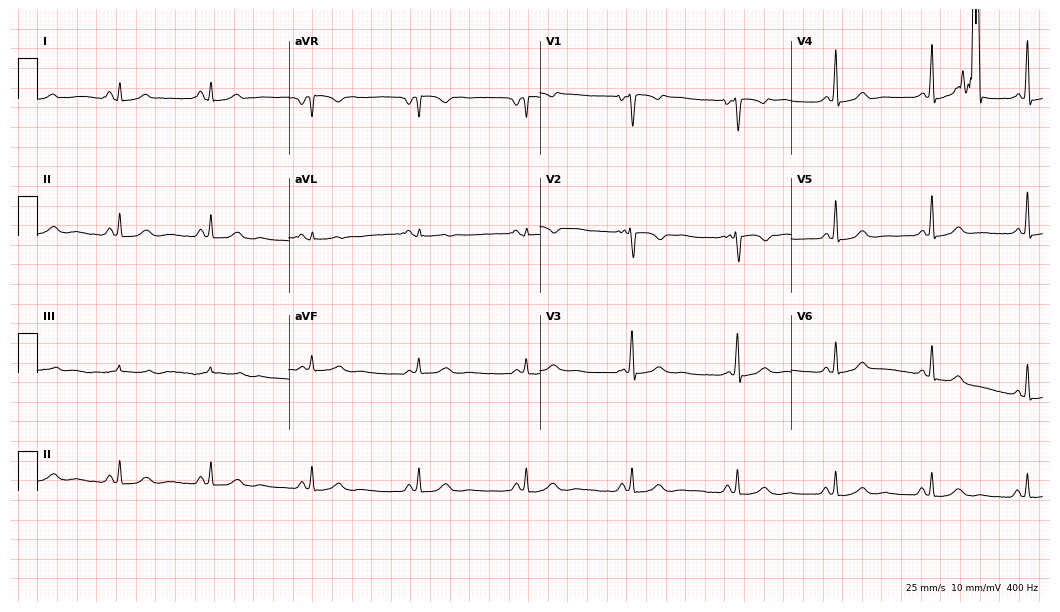
12-lead ECG from a 35-year-old woman. No first-degree AV block, right bundle branch block, left bundle branch block, sinus bradycardia, atrial fibrillation or sinus tachycardia recorded for this tracing.